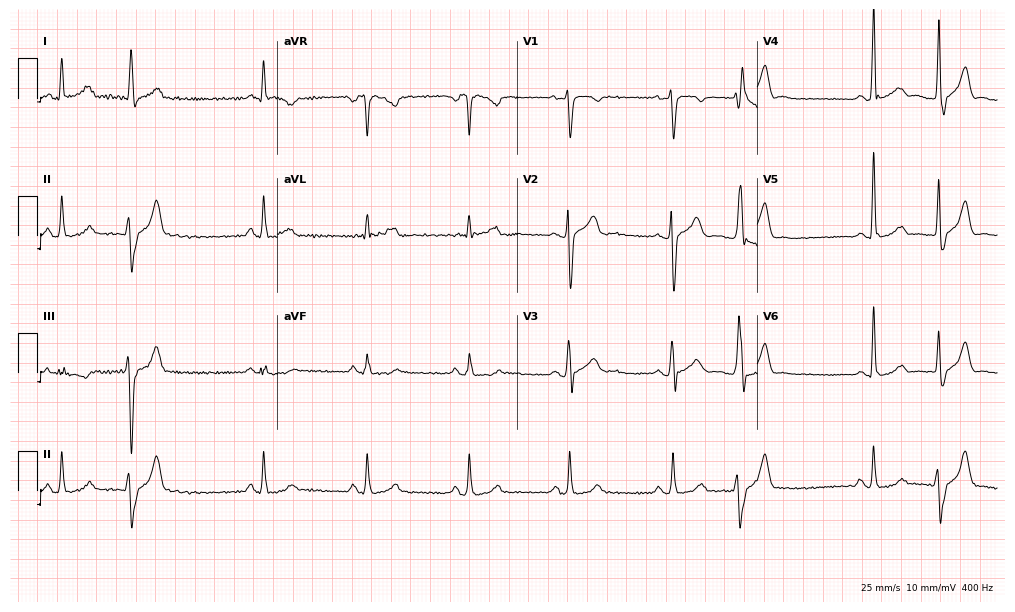
12-lead ECG (9.8-second recording at 400 Hz) from a 28-year-old male. Labelled as a normal ECG.